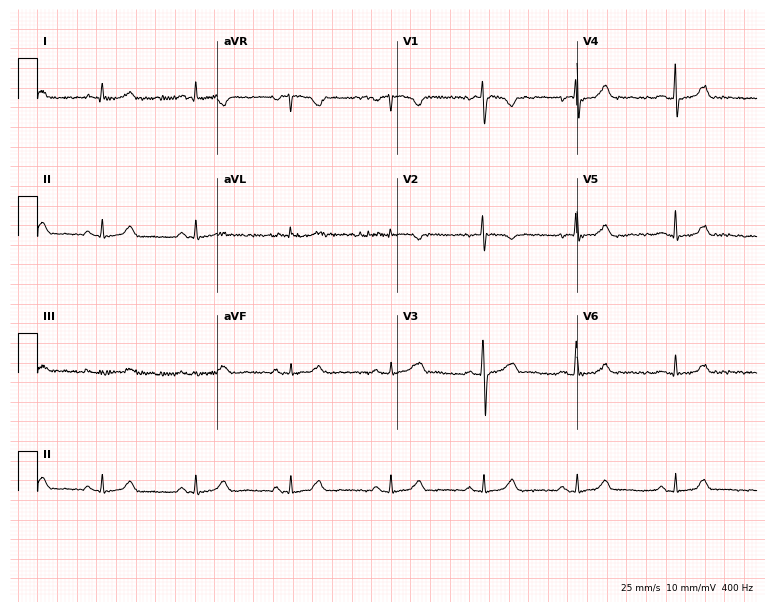
Electrocardiogram (7.3-second recording at 400 Hz), a female patient, 31 years old. Overall reading on record: normal ECG.